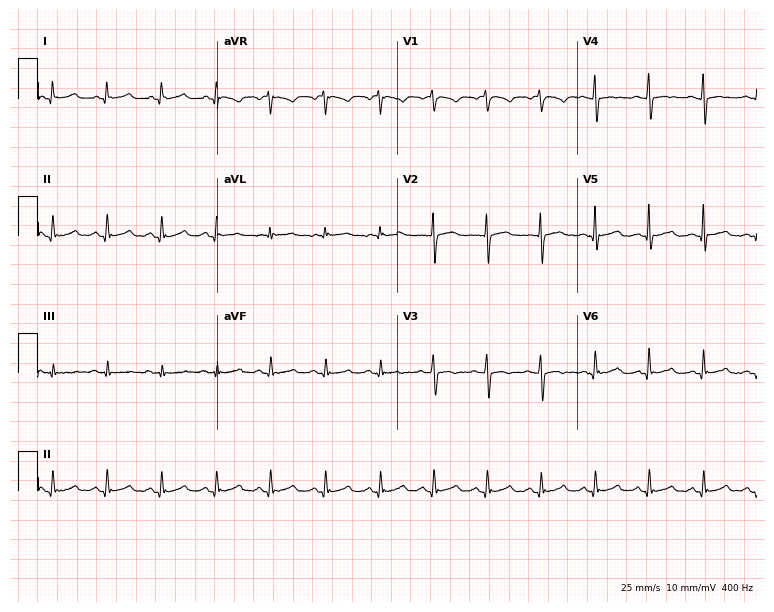
12-lead ECG from a male, 42 years old. Shows sinus tachycardia (a sinus rate of 100 beats per minute or more).